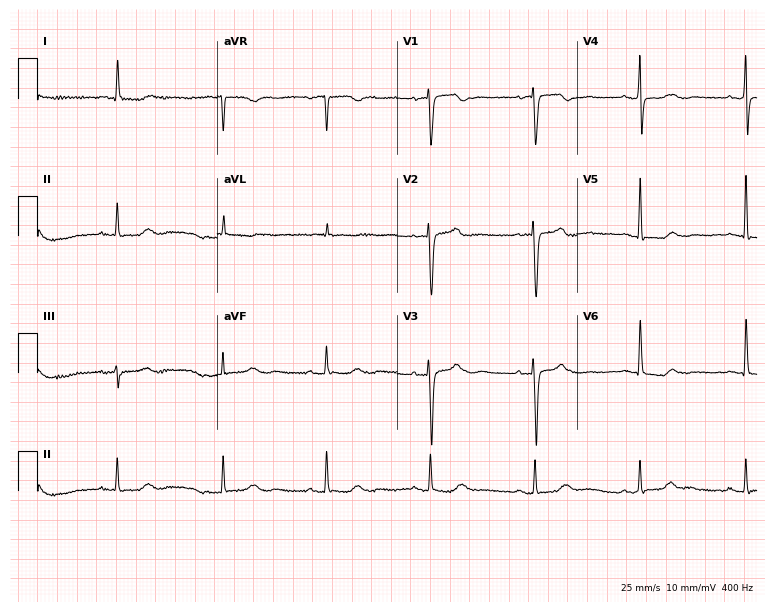
Electrocardiogram, an 85-year-old female. Of the six screened findings (first-degree AV block, right bundle branch block (RBBB), left bundle branch block (LBBB), sinus bradycardia, atrial fibrillation (AF), sinus tachycardia), none is recorded. Only these six findings were labelled.